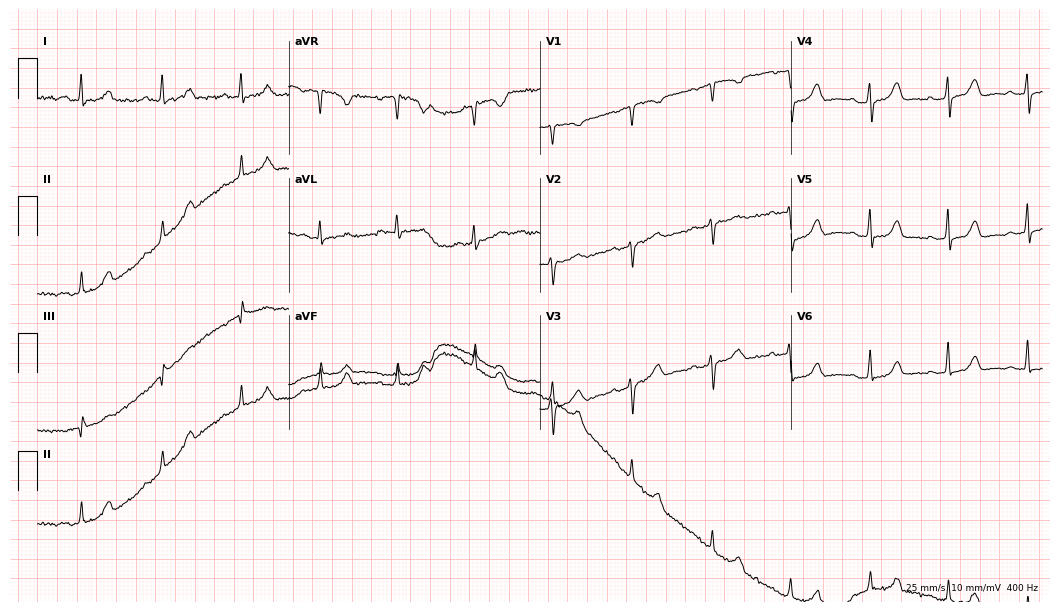
Resting 12-lead electrocardiogram. Patient: a female, 67 years old. None of these six findings is recorded: first-degree AV block, right bundle branch block, left bundle branch block, sinus bradycardia, atrial fibrillation, sinus tachycardia. Findings outside these six are not listed.